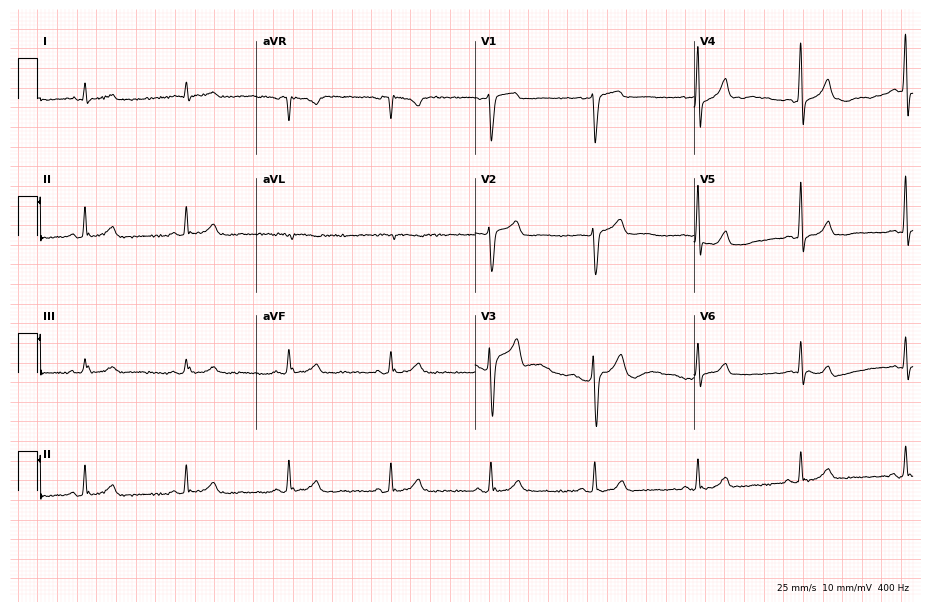
12-lead ECG from a 65-year-old male (8.9-second recording at 400 Hz). Recorded interpretation: within normal limits.